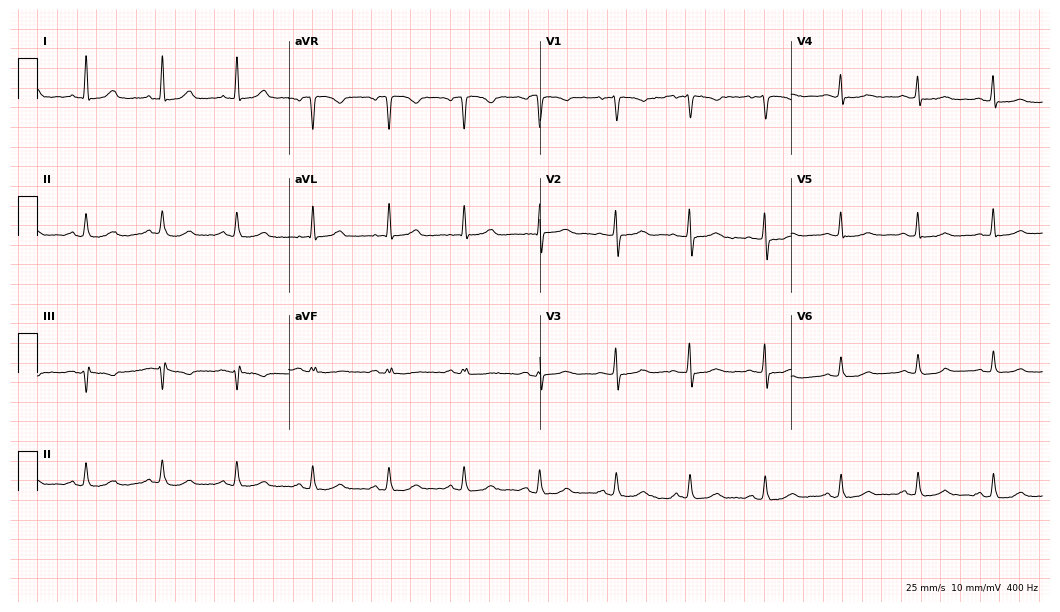
Electrocardiogram (10.2-second recording at 400 Hz), a 57-year-old female. Overall reading on record: normal ECG.